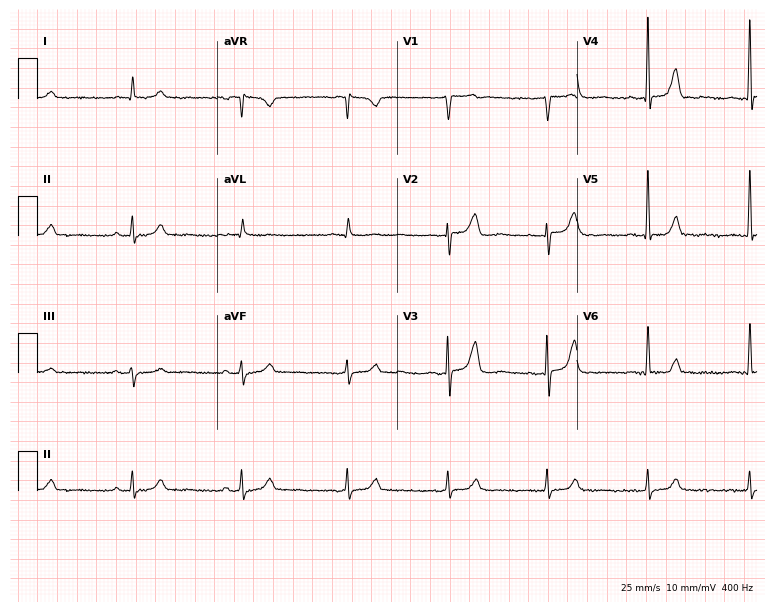
12-lead ECG from a male patient, 77 years old. No first-degree AV block, right bundle branch block, left bundle branch block, sinus bradycardia, atrial fibrillation or sinus tachycardia recorded for this tracing.